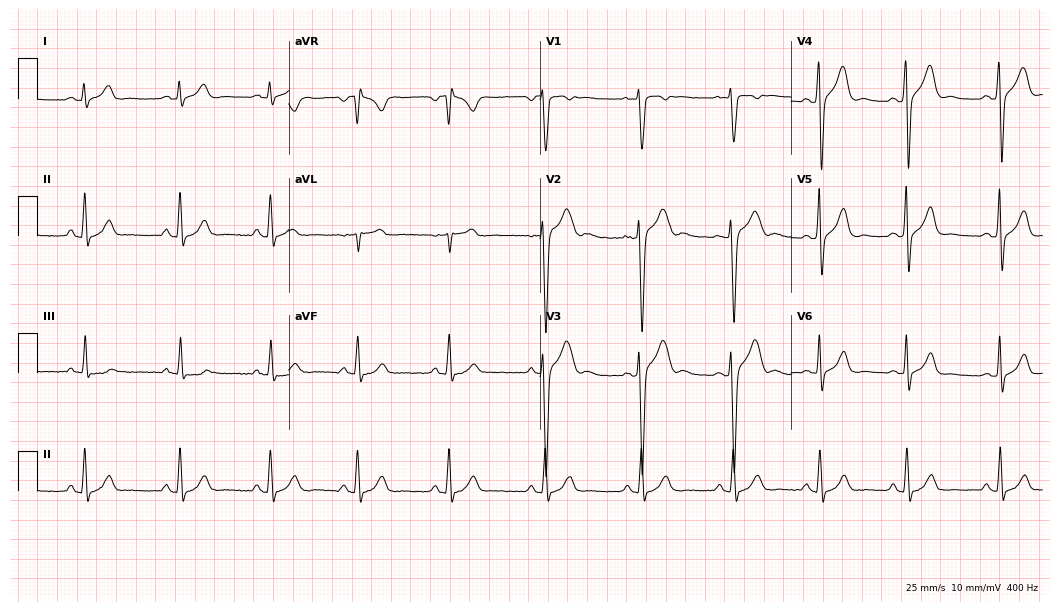
Standard 12-lead ECG recorded from a man, 30 years old. Read as a normal ECG.